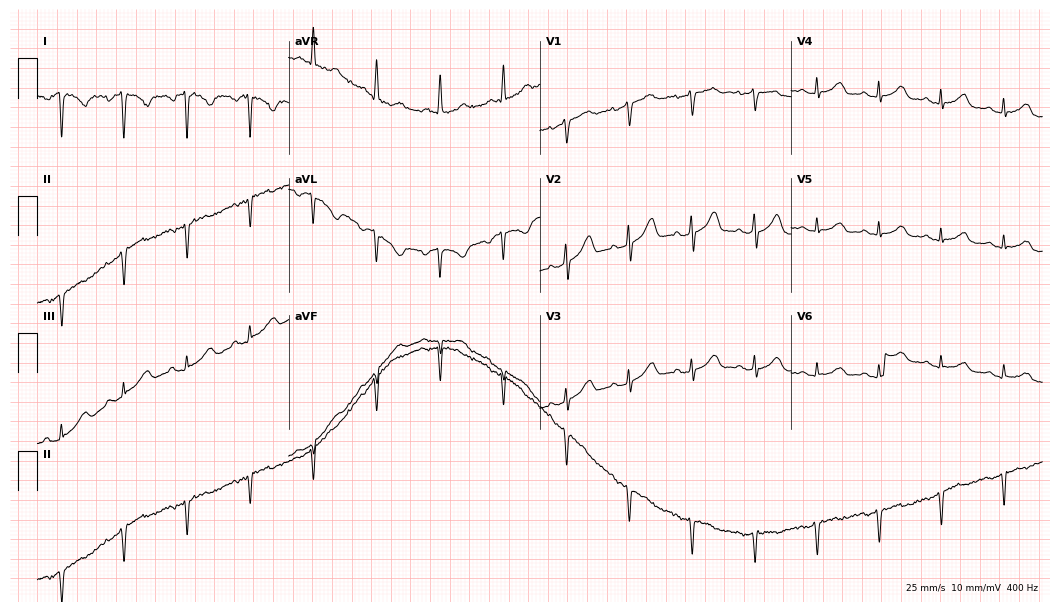
Resting 12-lead electrocardiogram (10.2-second recording at 400 Hz). Patient: a woman, 75 years old. None of these six findings is recorded: first-degree AV block, right bundle branch block, left bundle branch block, sinus bradycardia, atrial fibrillation, sinus tachycardia.